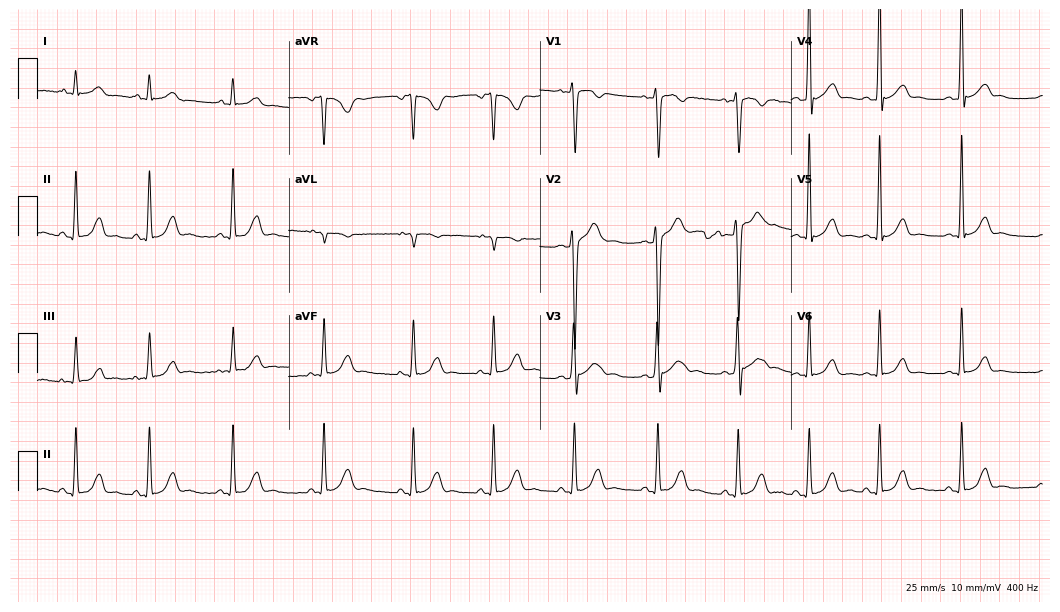
ECG — a male, 19 years old. Screened for six findings — first-degree AV block, right bundle branch block, left bundle branch block, sinus bradycardia, atrial fibrillation, sinus tachycardia — none is recorded. Only these six findings were labelled.